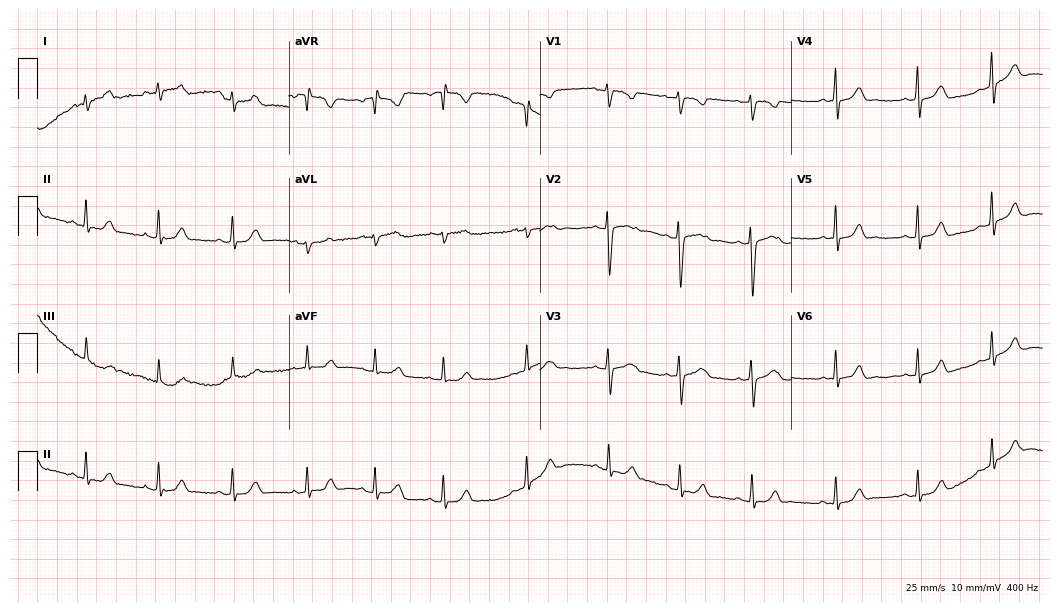
Resting 12-lead electrocardiogram (10.2-second recording at 400 Hz). Patient: a 19-year-old female. Read as a normal ECG.